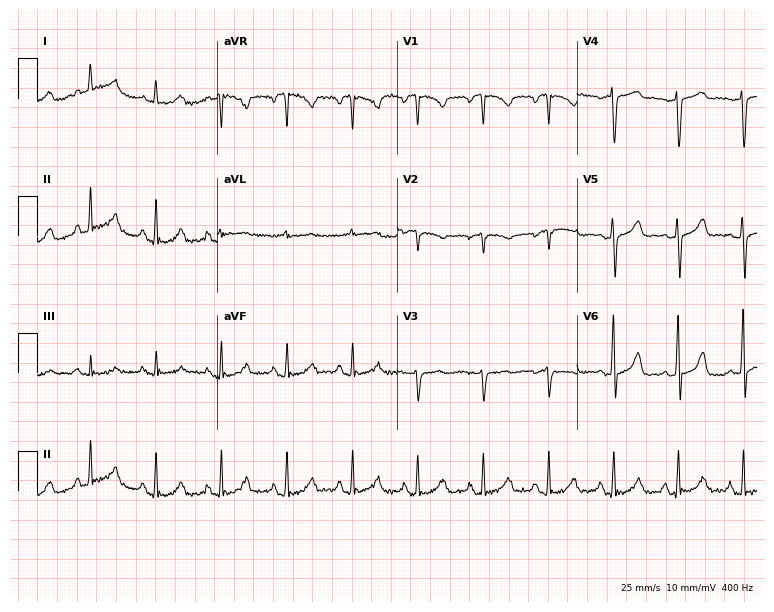
Standard 12-lead ECG recorded from a 59-year-old woman. None of these six findings is recorded: first-degree AV block, right bundle branch block, left bundle branch block, sinus bradycardia, atrial fibrillation, sinus tachycardia.